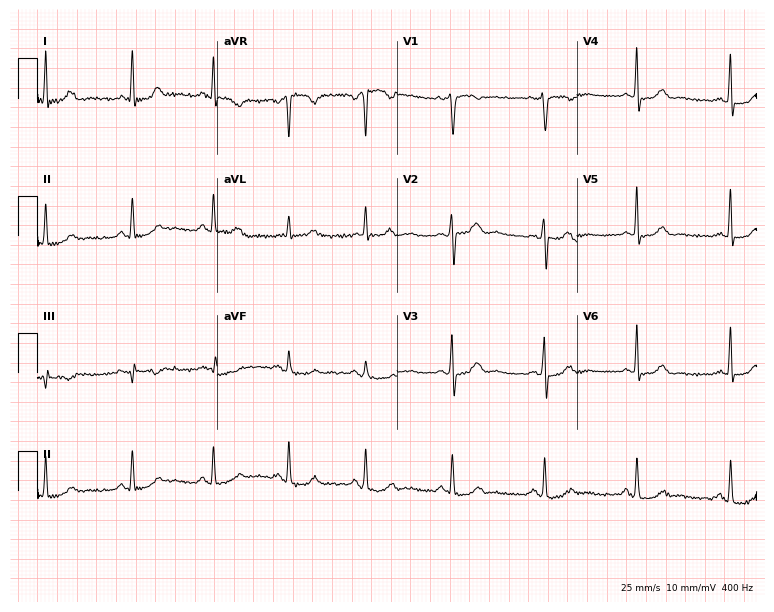
12-lead ECG (7.3-second recording at 400 Hz) from a 60-year-old woman. Screened for six findings — first-degree AV block, right bundle branch block, left bundle branch block, sinus bradycardia, atrial fibrillation, sinus tachycardia — none is recorded. Other findings, if any, are not listed.